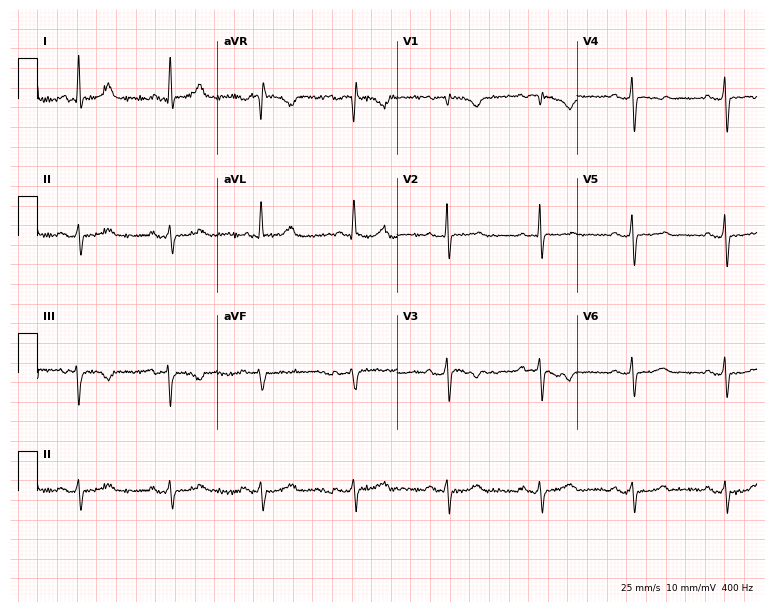
12-lead ECG from a female, 75 years old. Screened for six findings — first-degree AV block, right bundle branch block, left bundle branch block, sinus bradycardia, atrial fibrillation, sinus tachycardia — none is recorded. Only these six findings were labelled.